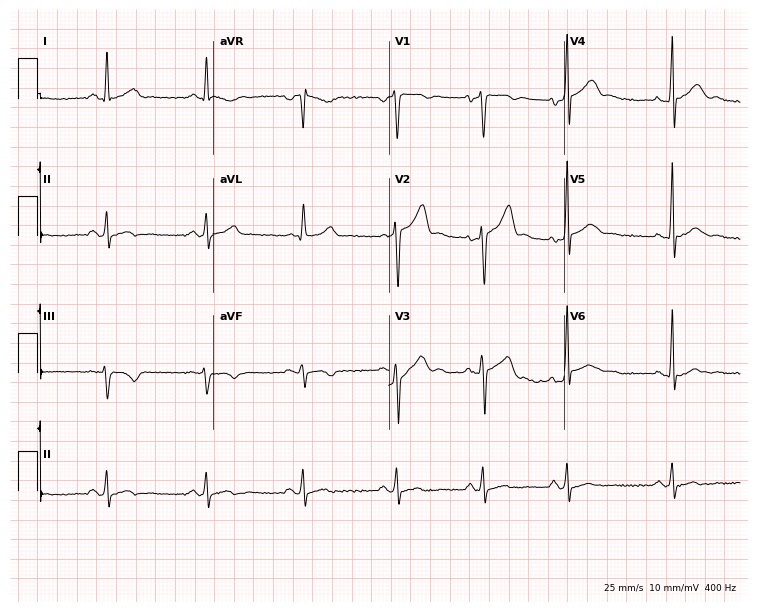
12-lead ECG from a male, 45 years old. Labelled as a normal ECG.